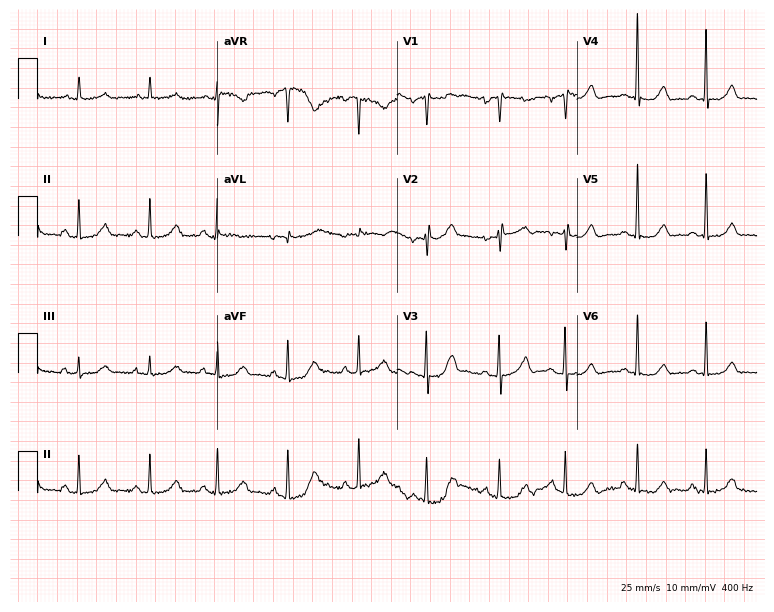
12-lead ECG from a woman, 83 years old (7.3-second recording at 400 Hz). Recorded interpretation: within normal limits.